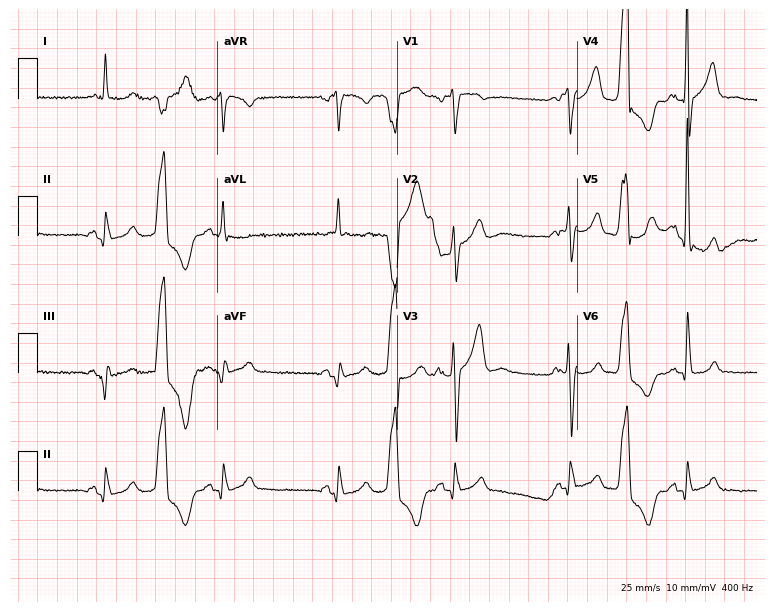
12-lead ECG from a man, 69 years old. Screened for six findings — first-degree AV block, right bundle branch block (RBBB), left bundle branch block (LBBB), sinus bradycardia, atrial fibrillation (AF), sinus tachycardia — none is recorded.